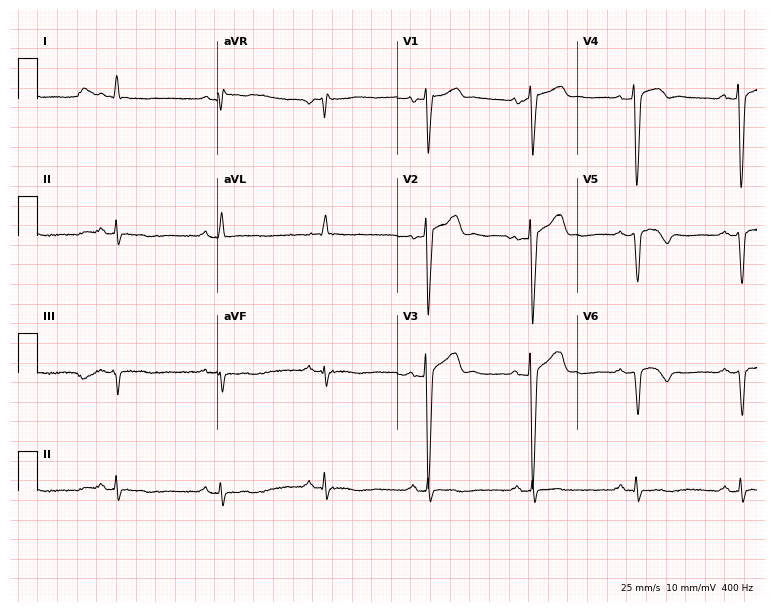
12-lead ECG from a 47-year-old man (7.3-second recording at 400 Hz). No first-degree AV block, right bundle branch block (RBBB), left bundle branch block (LBBB), sinus bradycardia, atrial fibrillation (AF) or sinus tachycardia recorded for this tracing. Only these six findings were labelled.